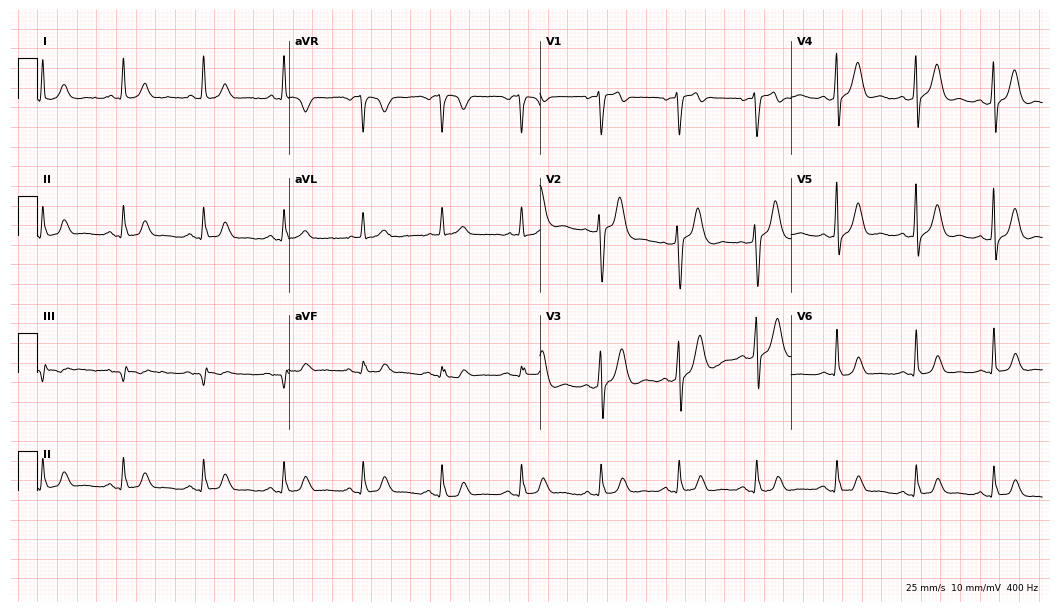
ECG — a 58-year-old female patient. Labelled as a normal ECG.